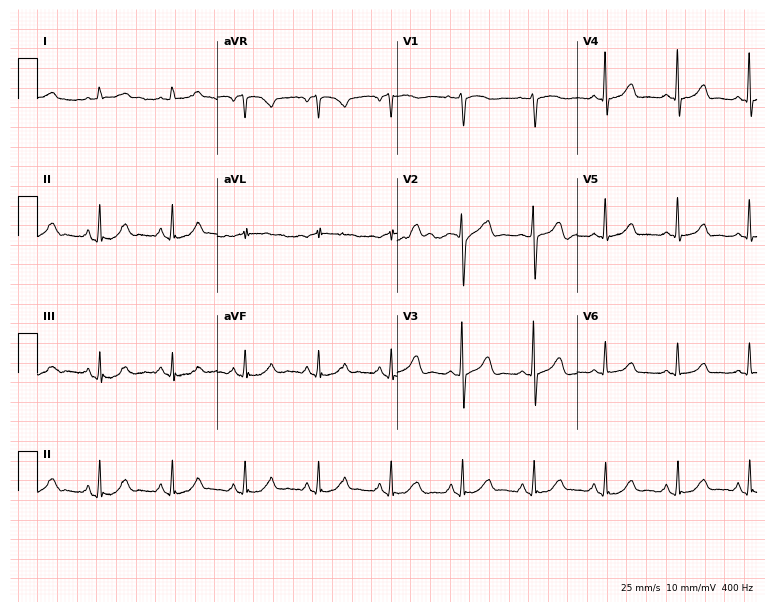
Electrocardiogram (7.3-second recording at 400 Hz), a female, 64 years old. Of the six screened findings (first-degree AV block, right bundle branch block, left bundle branch block, sinus bradycardia, atrial fibrillation, sinus tachycardia), none is recorded.